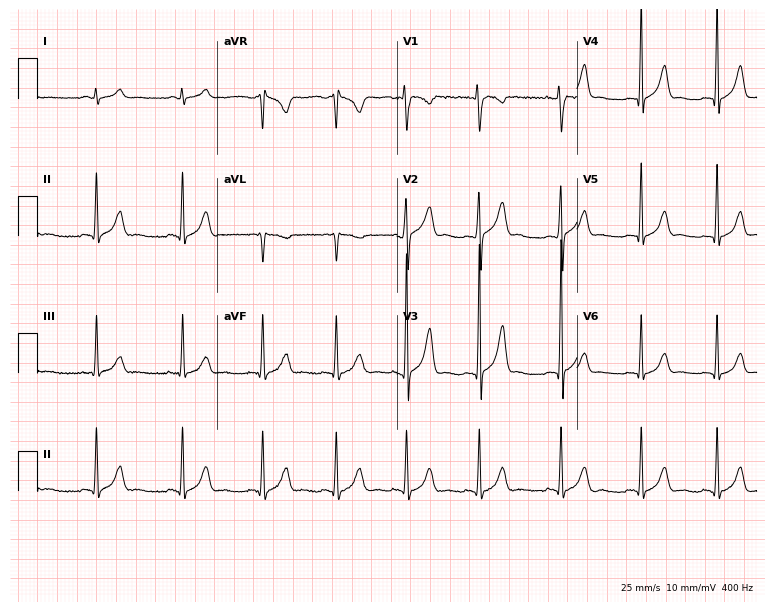
Electrocardiogram (7.3-second recording at 400 Hz), a 17-year-old male patient. Overall reading on record: normal ECG.